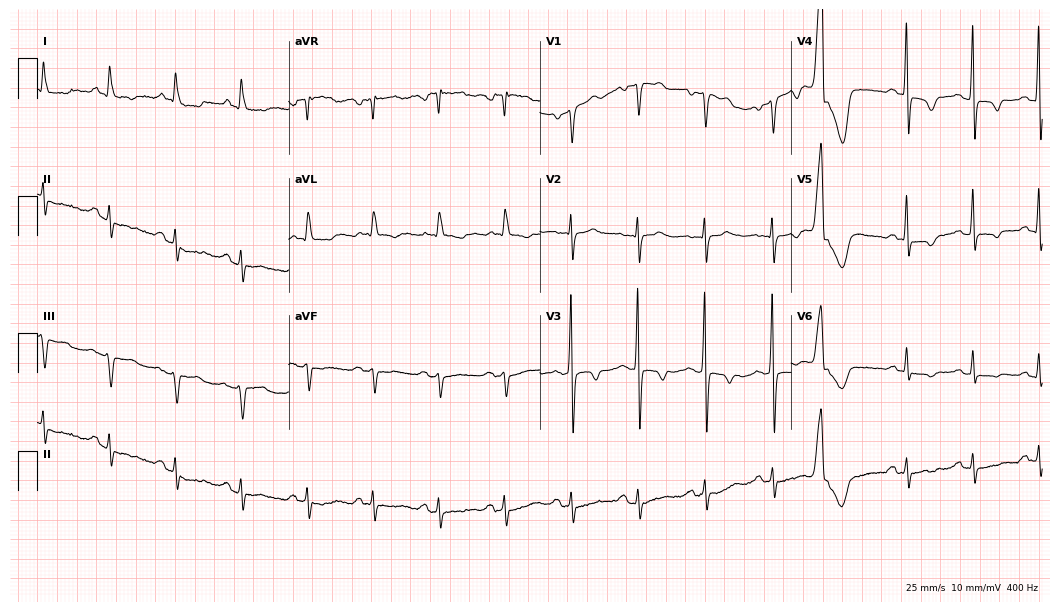
12-lead ECG (10.2-second recording at 400 Hz) from a man, 64 years old. Screened for six findings — first-degree AV block, right bundle branch block, left bundle branch block, sinus bradycardia, atrial fibrillation, sinus tachycardia — none is recorded.